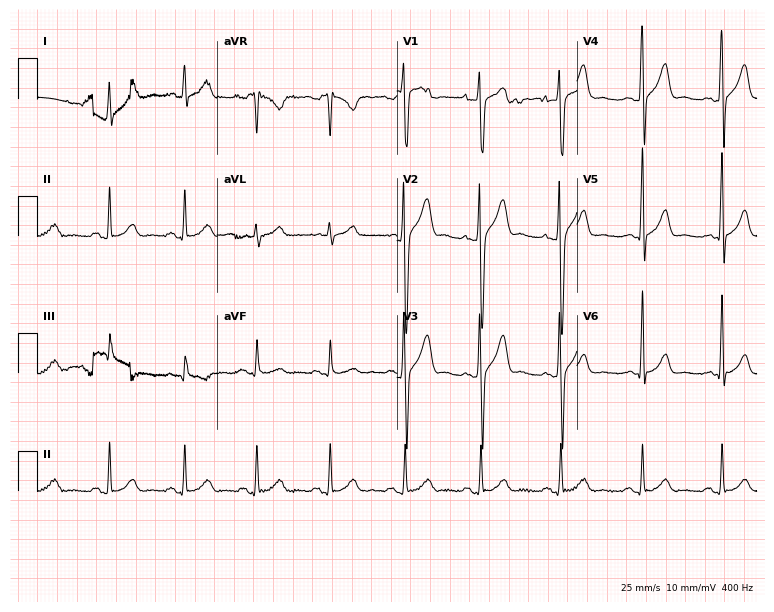
Standard 12-lead ECG recorded from a male, 29 years old. Read as a normal ECG.